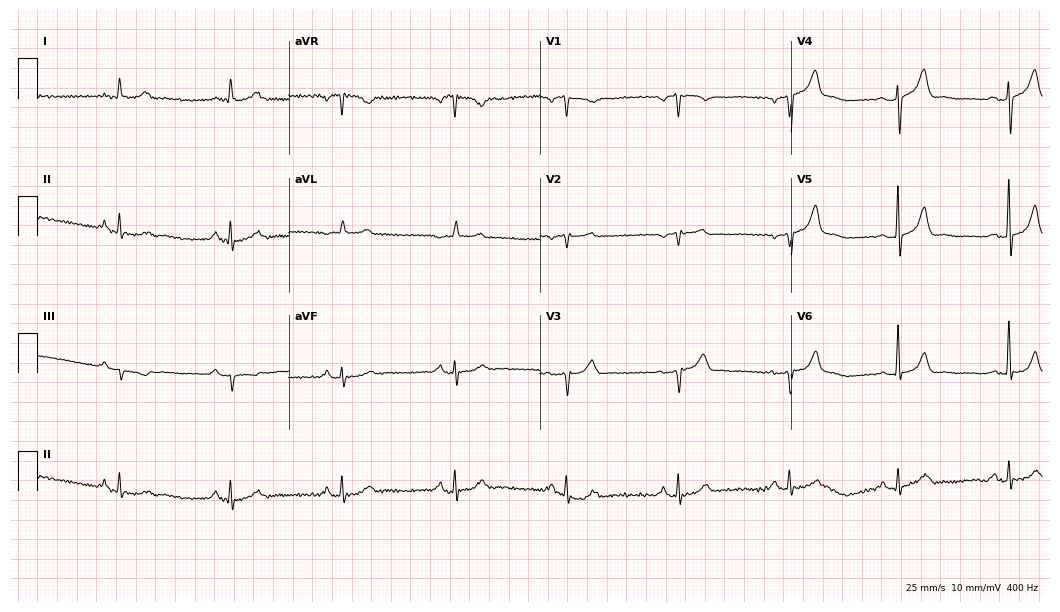
Resting 12-lead electrocardiogram. Patient: a 77-year-old man. Read as a normal ECG.